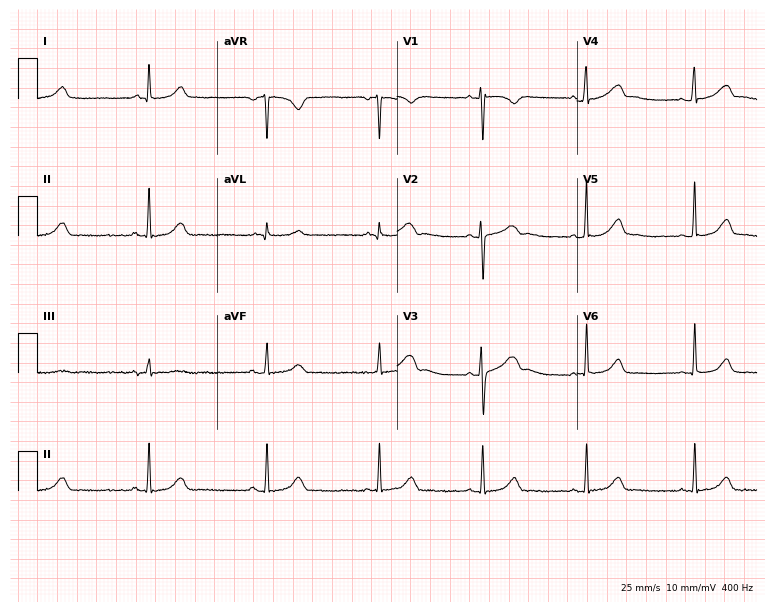
Resting 12-lead electrocardiogram. Patient: a female, 26 years old. None of these six findings is recorded: first-degree AV block, right bundle branch block, left bundle branch block, sinus bradycardia, atrial fibrillation, sinus tachycardia.